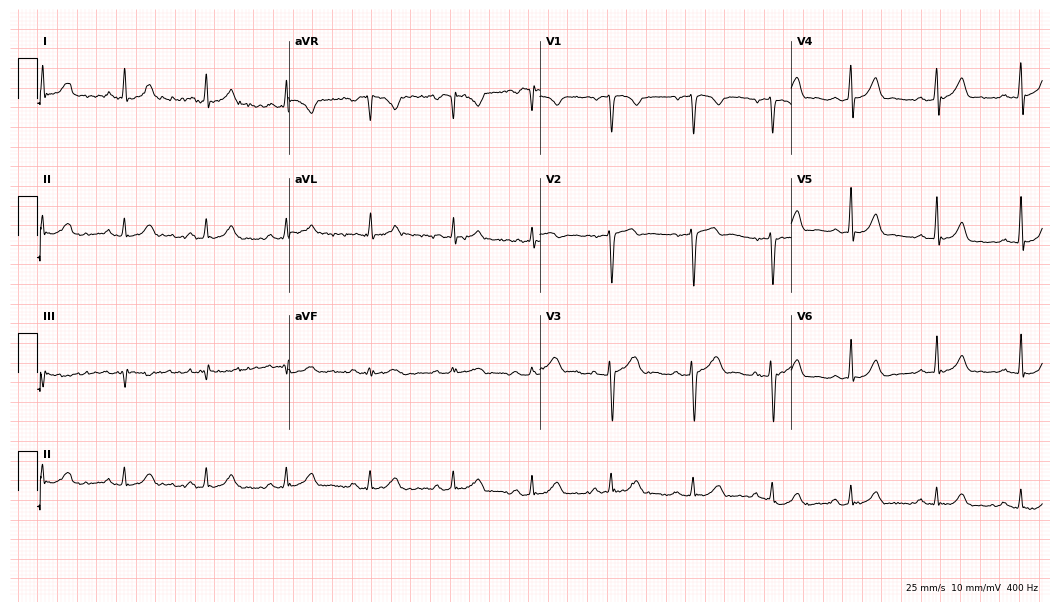
12-lead ECG (10.2-second recording at 400 Hz) from a 32-year-old male. Screened for six findings — first-degree AV block, right bundle branch block, left bundle branch block, sinus bradycardia, atrial fibrillation, sinus tachycardia — none is recorded.